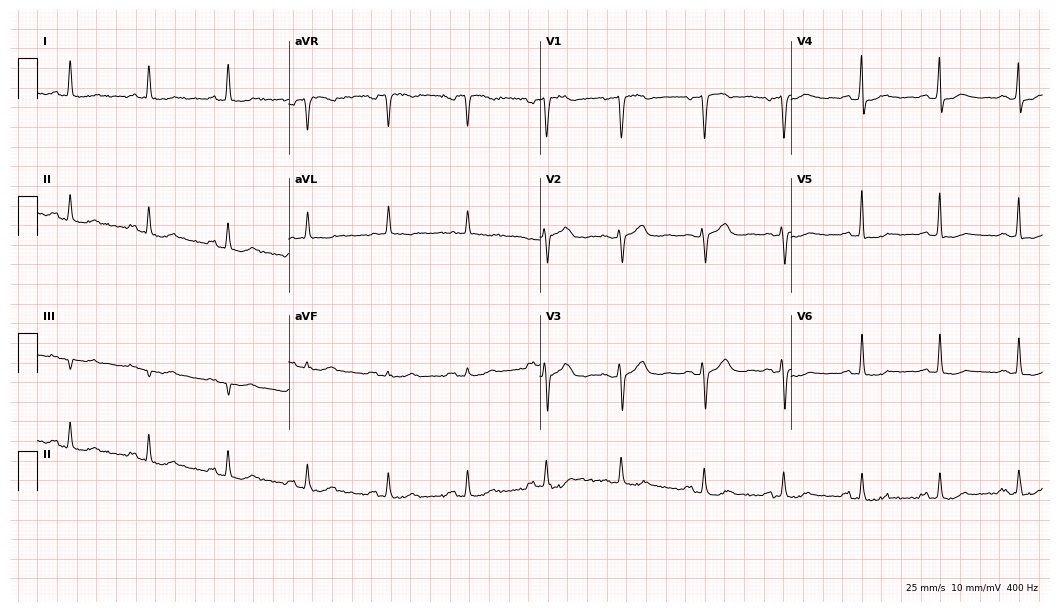
12-lead ECG (10.2-second recording at 400 Hz) from a 71-year-old female. Screened for six findings — first-degree AV block, right bundle branch block, left bundle branch block, sinus bradycardia, atrial fibrillation, sinus tachycardia — none is recorded.